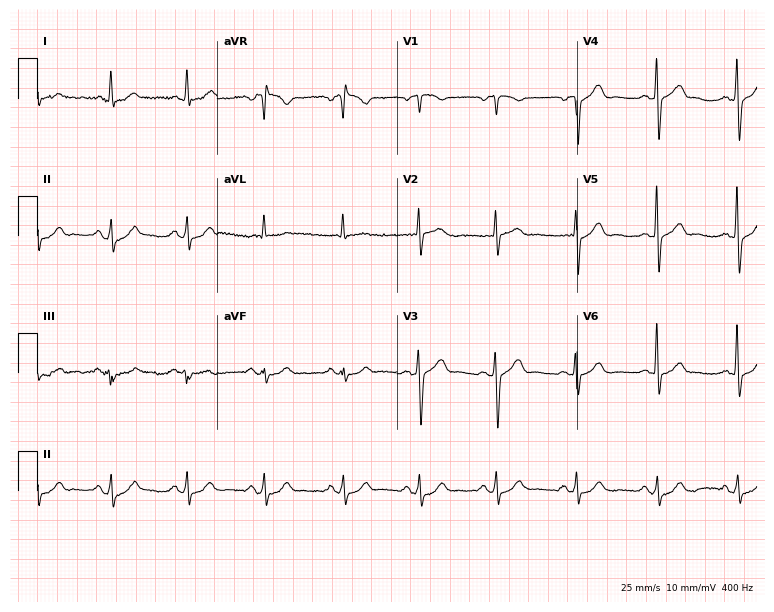
12-lead ECG (7.3-second recording at 400 Hz) from a 77-year-old male patient. Labelled as a normal ECG.